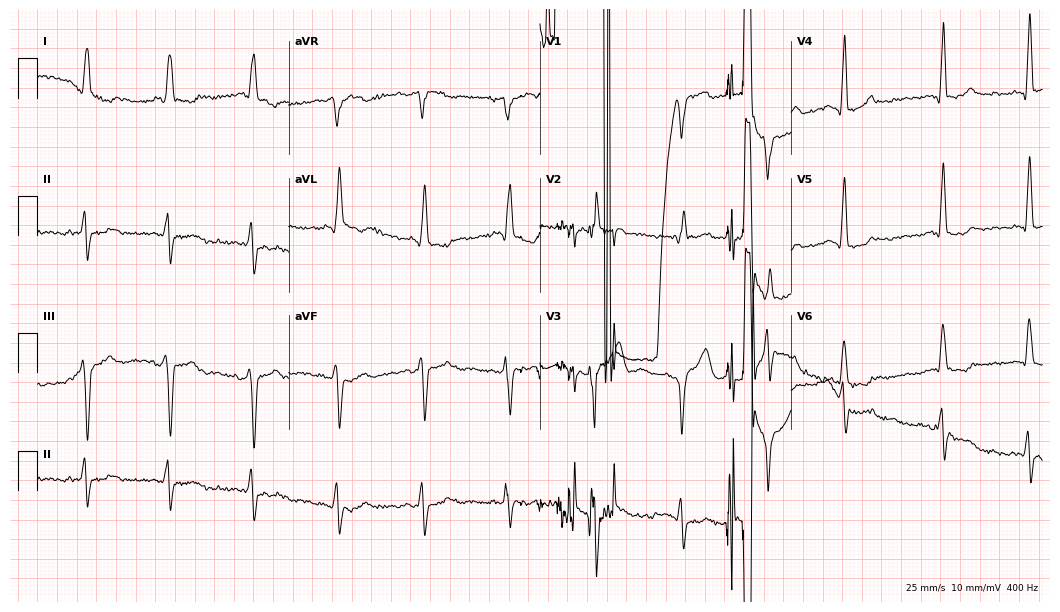
ECG — a 67-year-old male patient. Screened for six findings — first-degree AV block, right bundle branch block (RBBB), left bundle branch block (LBBB), sinus bradycardia, atrial fibrillation (AF), sinus tachycardia — none is recorded. Other findings, if any, are not listed.